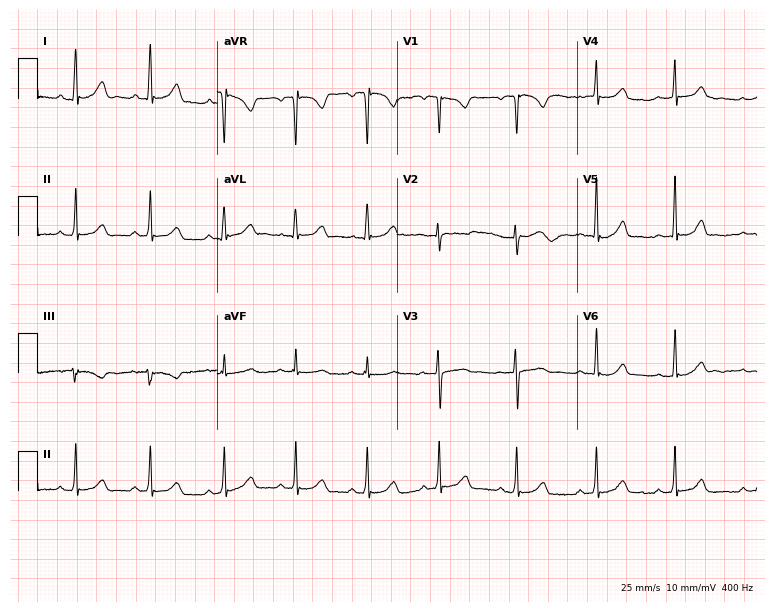
12-lead ECG (7.3-second recording at 400 Hz) from a 37-year-old female. Labelled as a normal ECG.